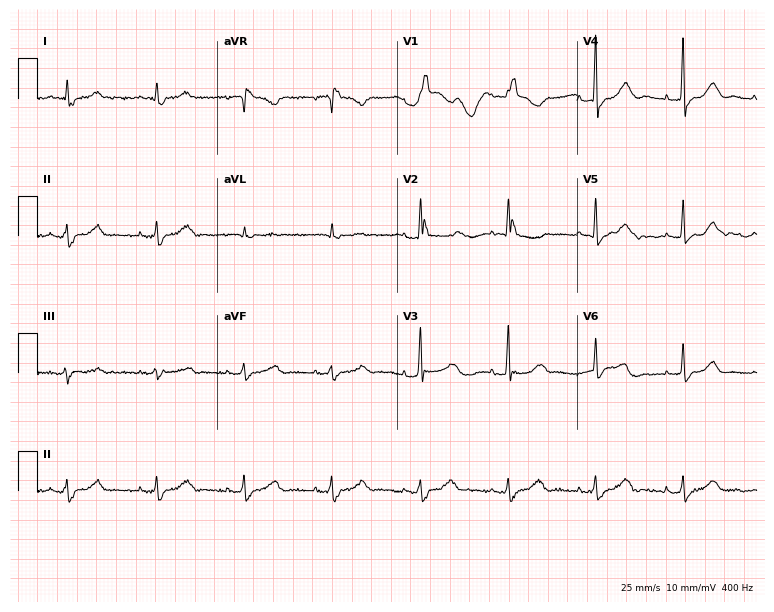
Resting 12-lead electrocardiogram. Patient: a female, 82 years old. The tracing shows right bundle branch block.